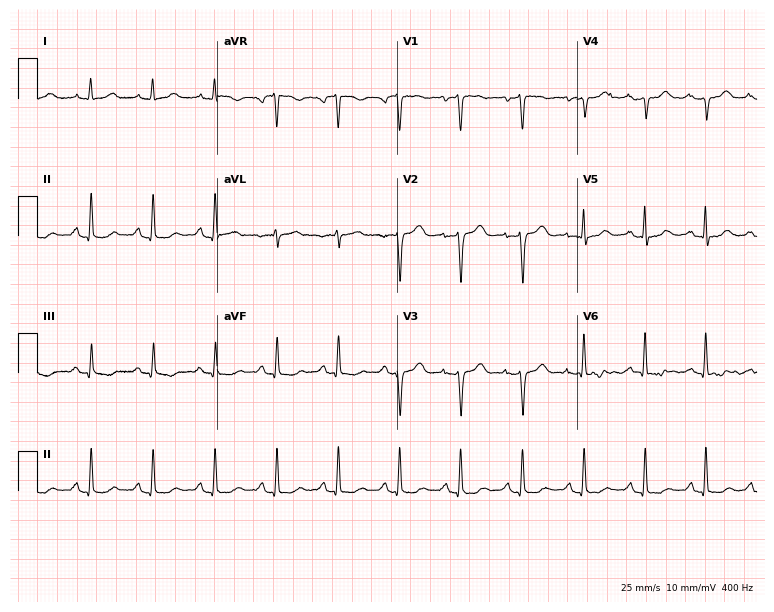
Resting 12-lead electrocardiogram. Patient: a 53-year-old female. None of these six findings is recorded: first-degree AV block, right bundle branch block, left bundle branch block, sinus bradycardia, atrial fibrillation, sinus tachycardia. Only these six findings were labelled.